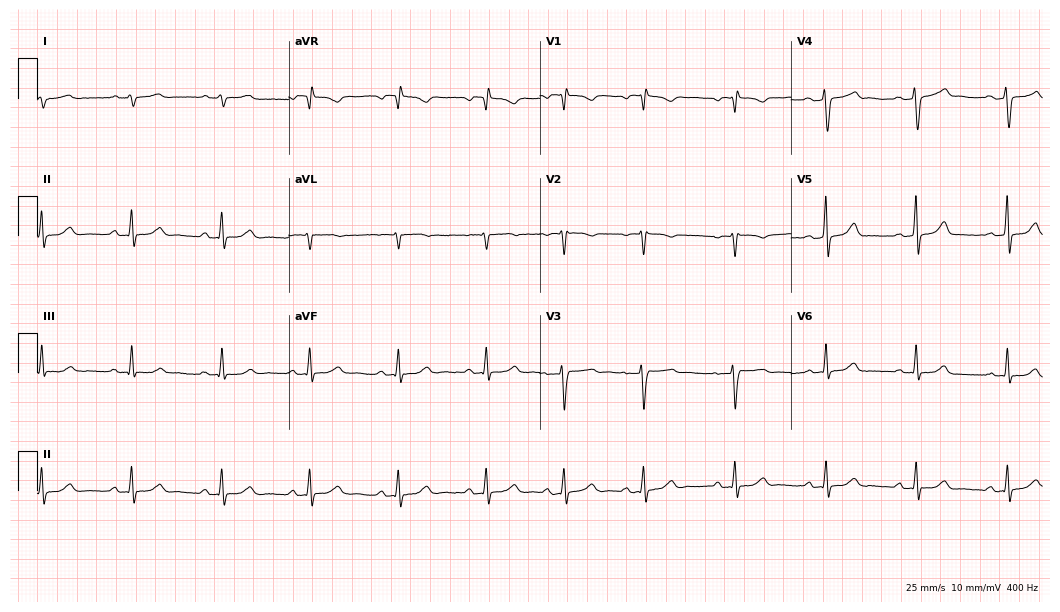
12-lead ECG from a 37-year-old female. Screened for six findings — first-degree AV block, right bundle branch block, left bundle branch block, sinus bradycardia, atrial fibrillation, sinus tachycardia — none is recorded. Findings outside these six are not listed.